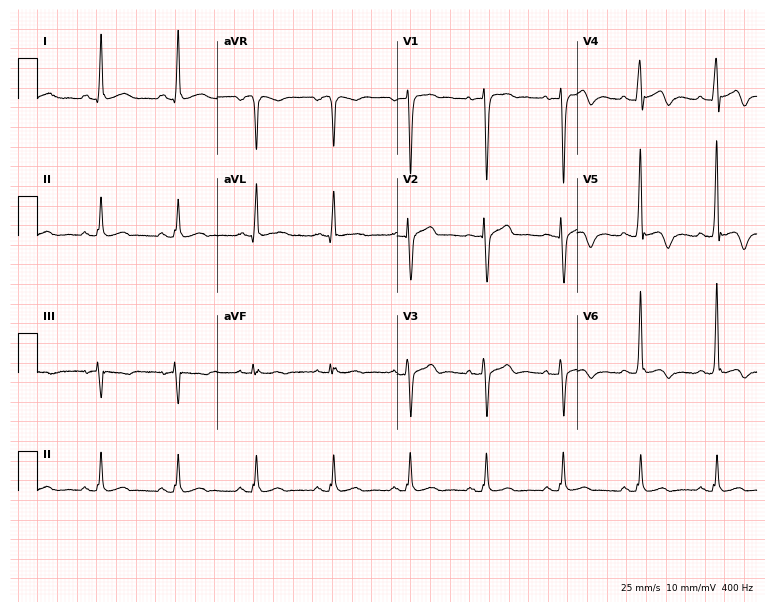
Standard 12-lead ECG recorded from a 31-year-old man. None of these six findings is recorded: first-degree AV block, right bundle branch block, left bundle branch block, sinus bradycardia, atrial fibrillation, sinus tachycardia. Findings outside these six are not listed.